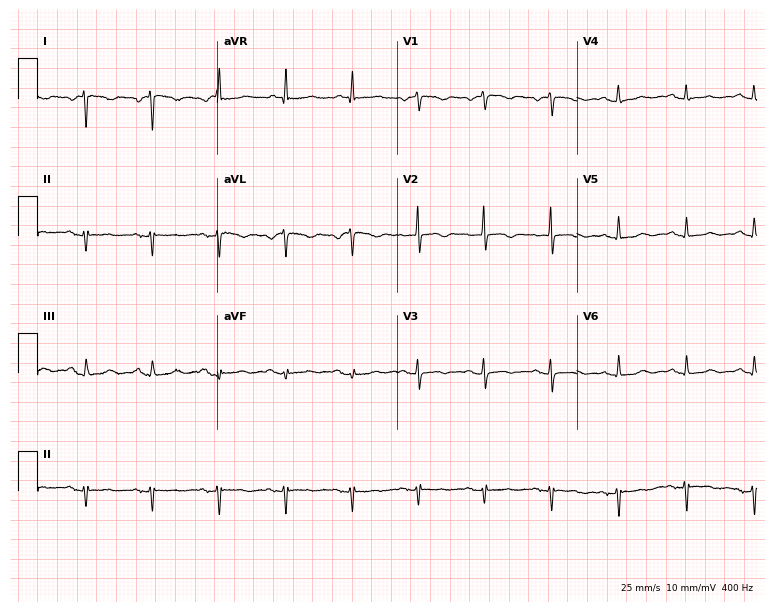
Resting 12-lead electrocardiogram. Patient: a 69-year-old man. None of these six findings is recorded: first-degree AV block, right bundle branch block, left bundle branch block, sinus bradycardia, atrial fibrillation, sinus tachycardia. Other findings, if any, are not listed.